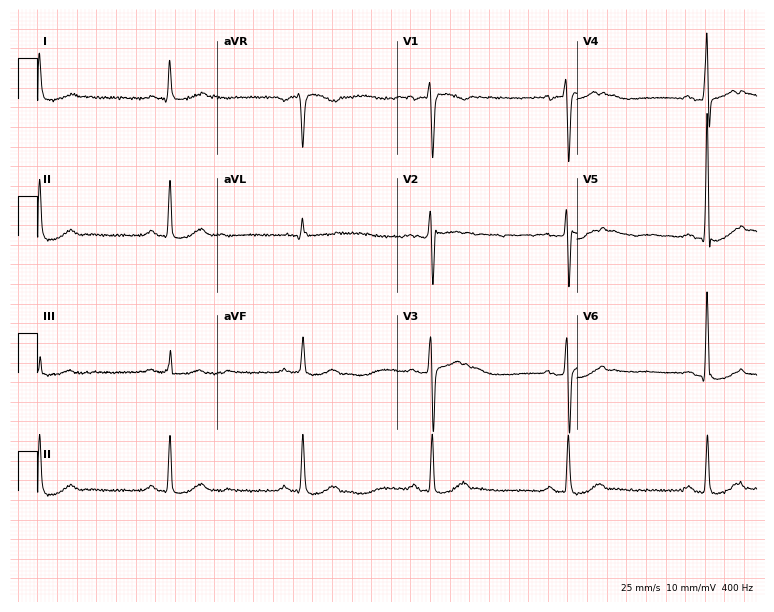
Standard 12-lead ECG recorded from a 52-year-old male. The tracing shows sinus bradycardia (a sinus rate of 50 beats per minute or less).